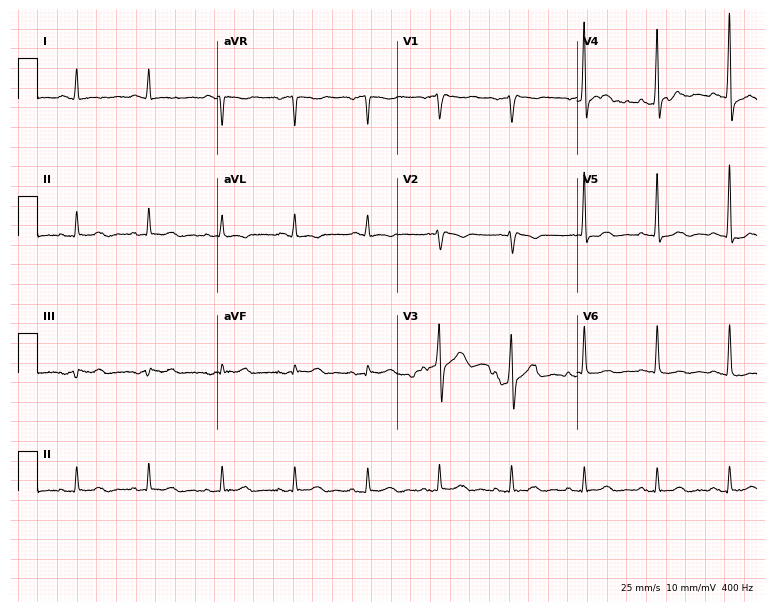
12-lead ECG from an 80-year-old male patient. Labelled as a normal ECG.